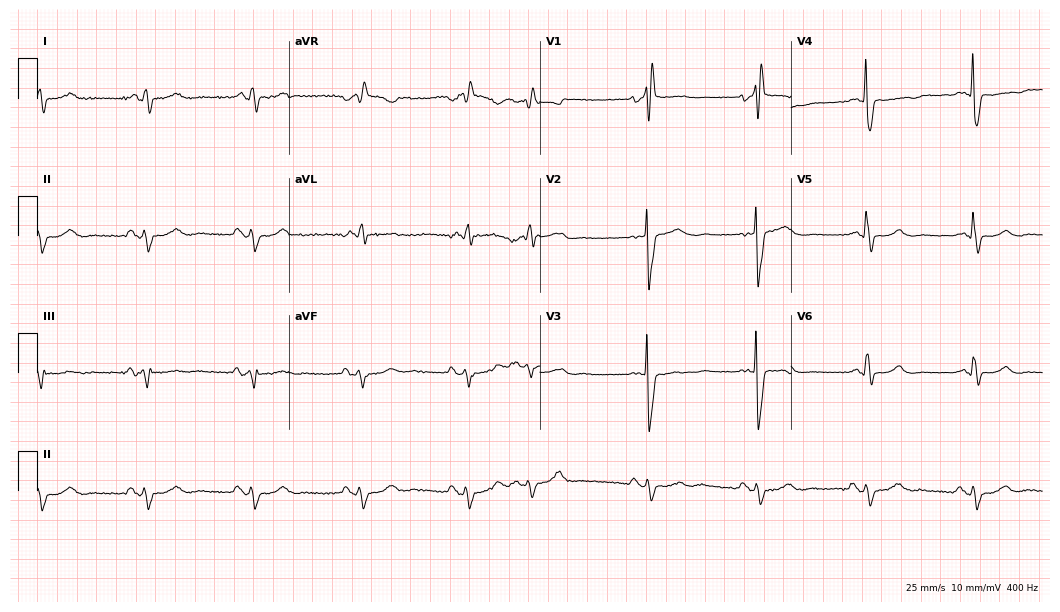
12-lead ECG (10.2-second recording at 400 Hz) from a 72-year-old man. Screened for six findings — first-degree AV block, right bundle branch block, left bundle branch block, sinus bradycardia, atrial fibrillation, sinus tachycardia — none is recorded.